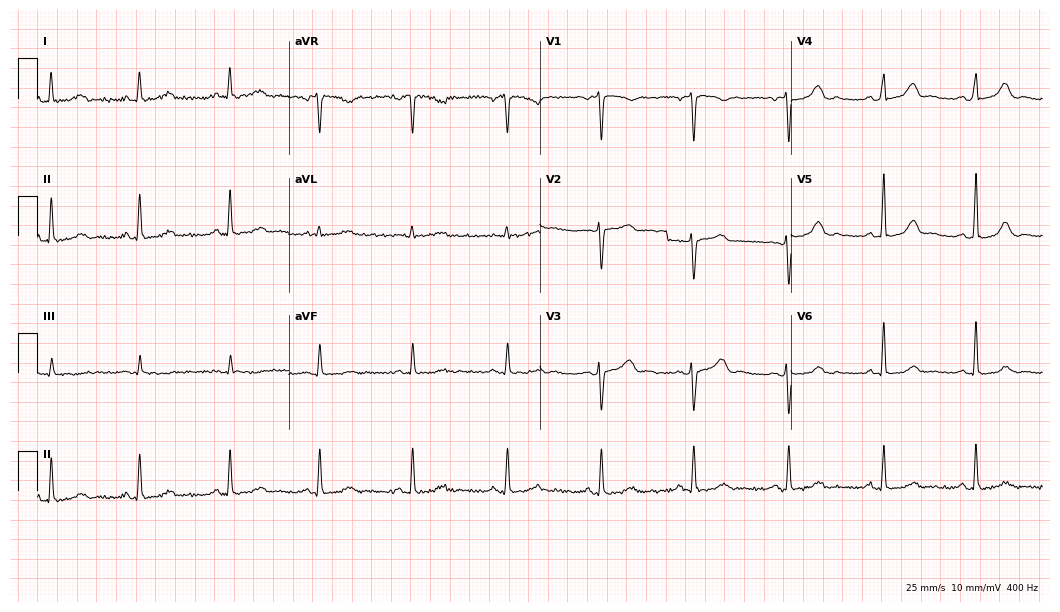
Resting 12-lead electrocardiogram. Patient: a 53-year-old woman. Read as a normal ECG.